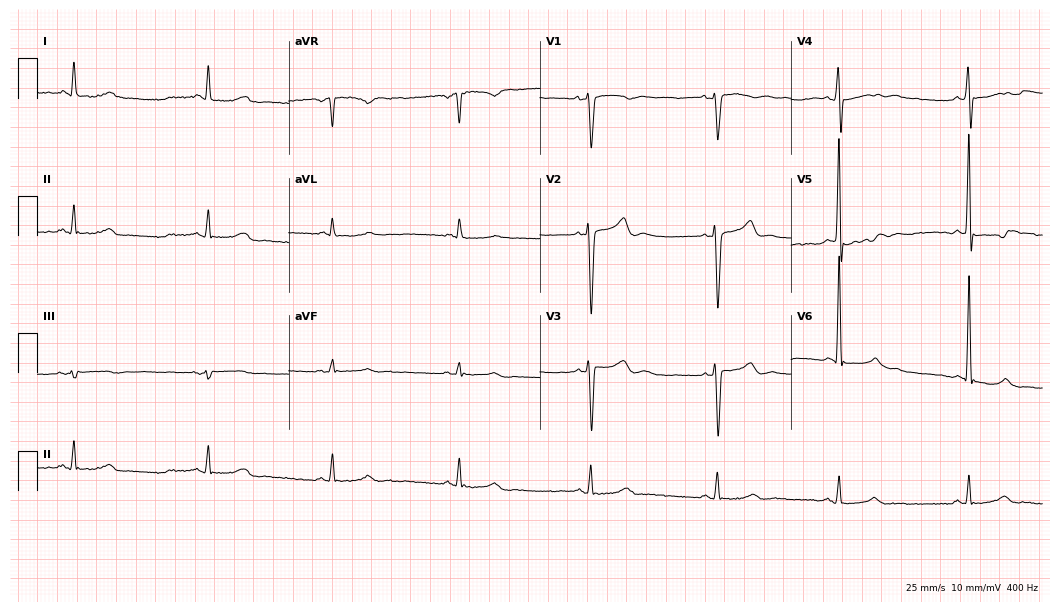
12-lead ECG from a 43-year-old male (10.2-second recording at 400 Hz). Shows sinus bradycardia (a sinus rate of 50 beats per minute or less).